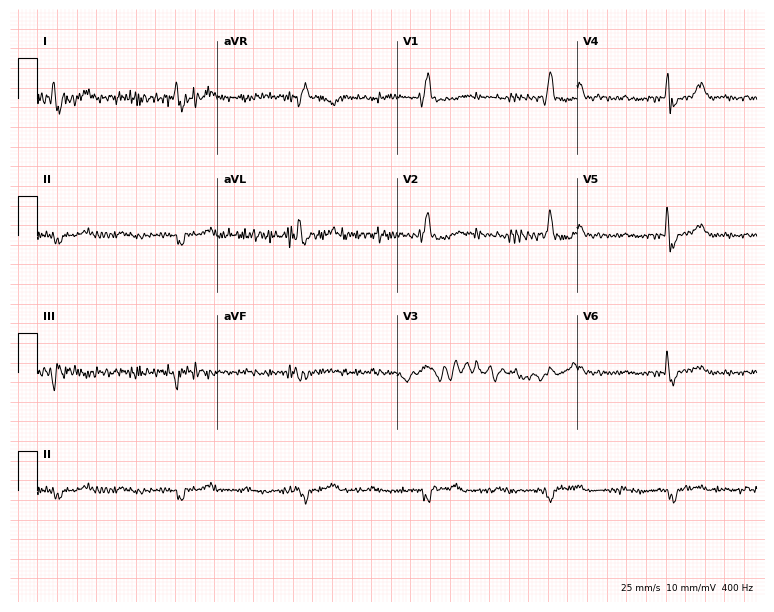
Resting 12-lead electrocardiogram. Patient: a woman, 69 years old. None of these six findings is recorded: first-degree AV block, right bundle branch block, left bundle branch block, sinus bradycardia, atrial fibrillation, sinus tachycardia. Other findings, if any, are not listed.